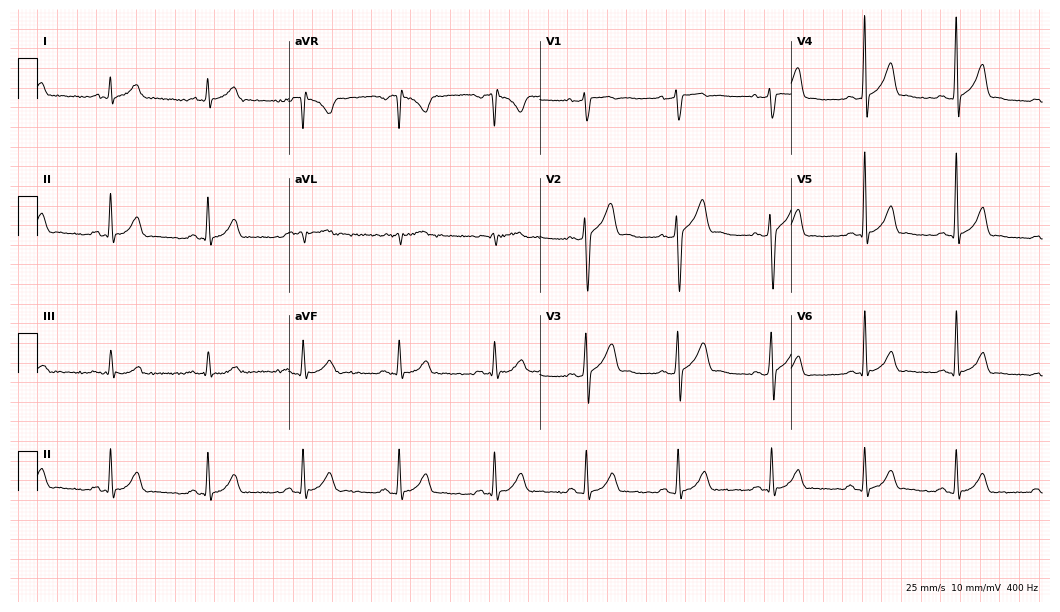
12-lead ECG from a 28-year-old man. Labelled as a normal ECG.